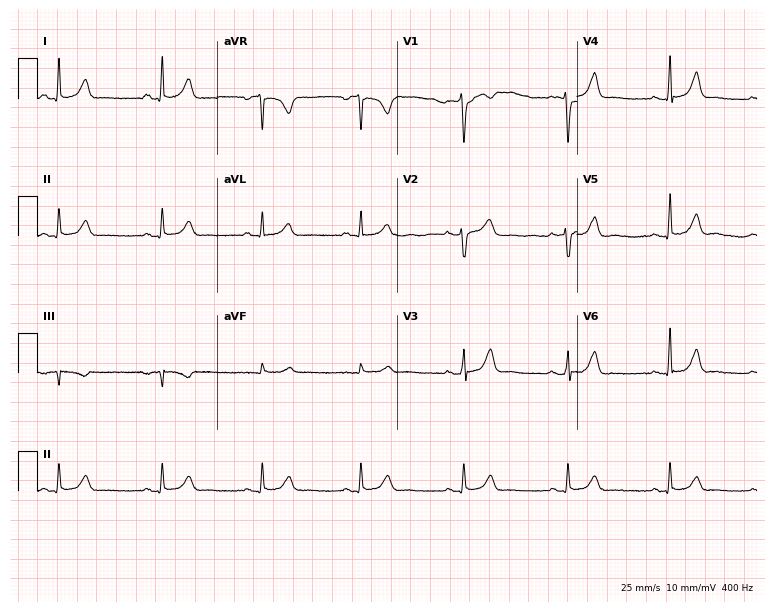
12-lead ECG from a 46-year-old female patient. Labelled as a normal ECG.